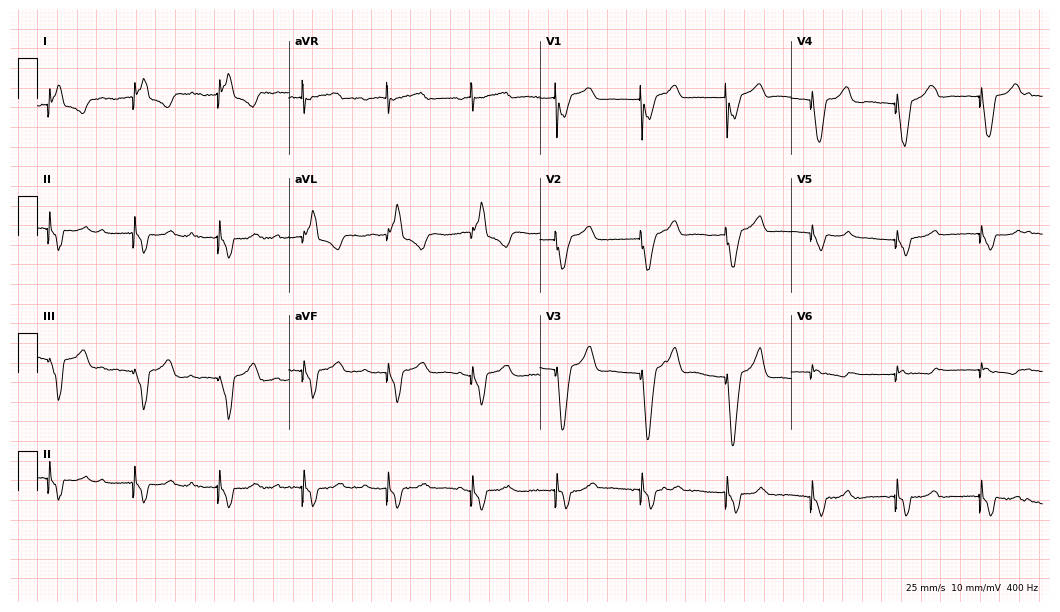
ECG (10.2-second recording at 400 Hz) — a female patient, 85 years old. Screened for six findings — first-degree AV block, right bundle branch block (RBBB), left bundle branch block (LBBB), sinus bradycardia, atrial fibrillation (AF), sinus tachycardia — none is recorded.